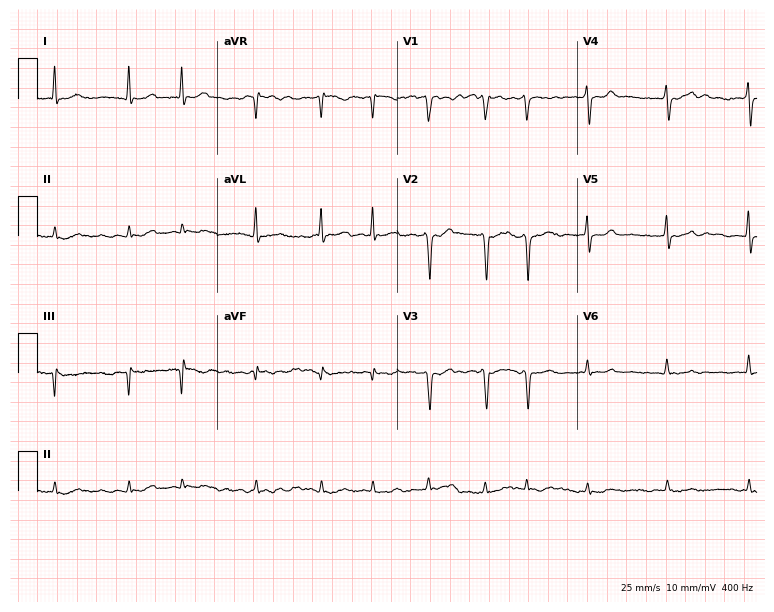
Electrocardiogram (7.3-second recording at 400 Hz), a 52-year-old man. Interpretation includes atrial fibrillation.